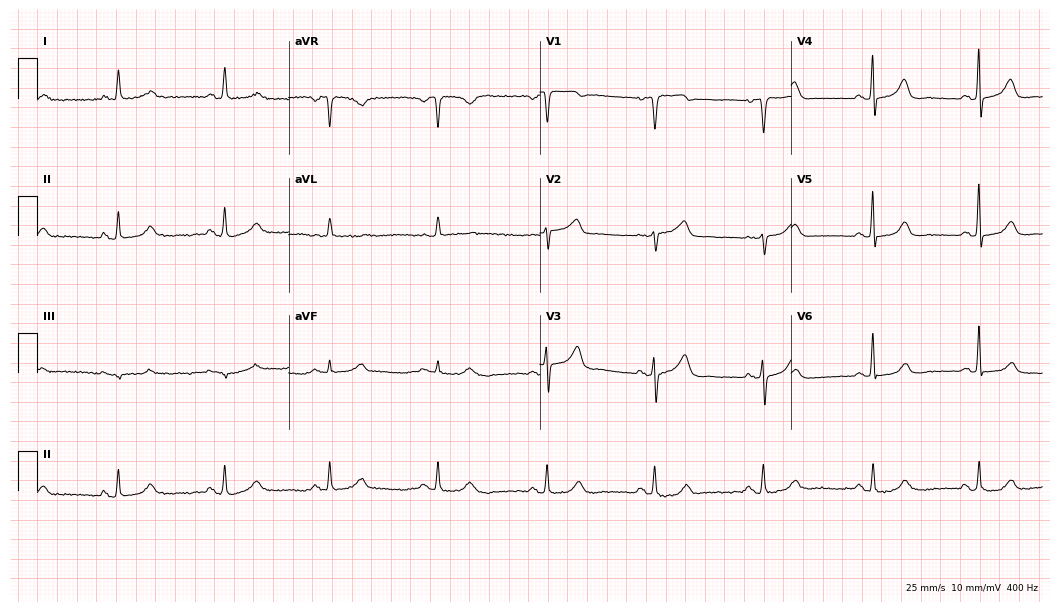
12-lead ECG (10.2-second recording at 400 Hz) from a woman, 80 years old. Labelled as a normal ECG.